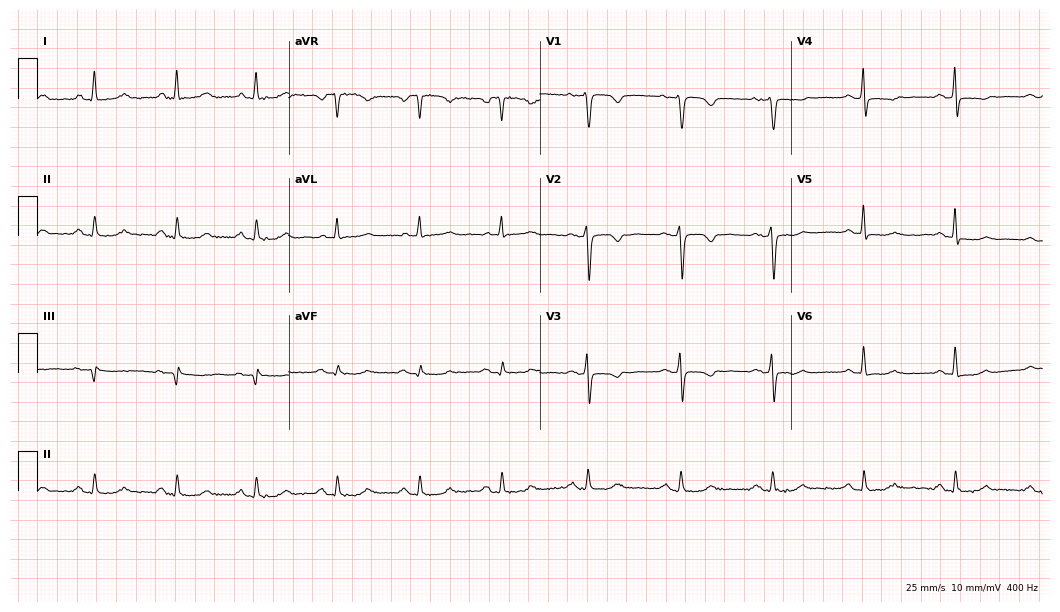
12-lead ECG (10.2-second recording at 400 Hz) from a 49-year-old female patient. Screened for six findings — first-degree AV block, right bundle branch block, left bundle branch block, sinus bradycardia, atrial fibrillation, sinus tachycardia — none is recorded. Only these six findings were labelled.